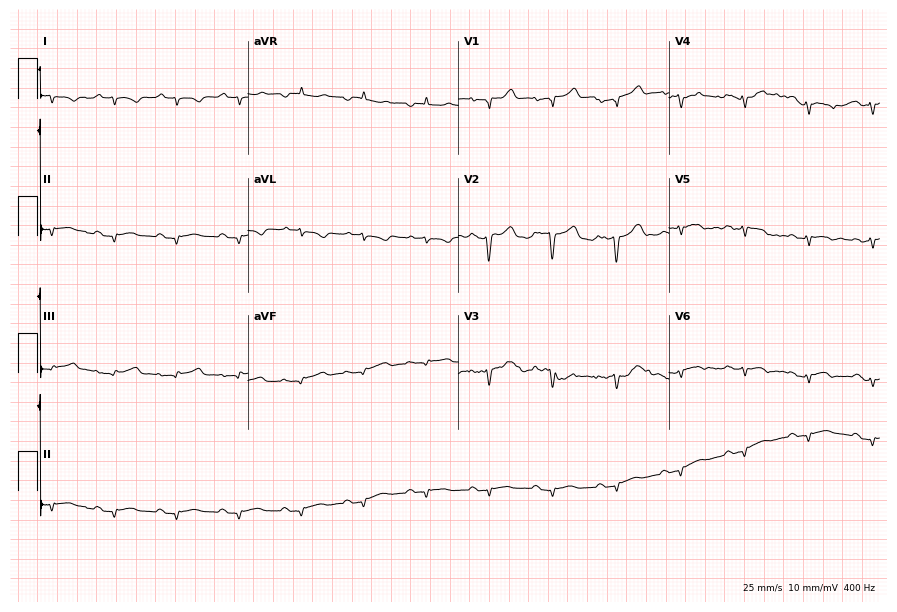
Standard 12-lead ECG recorded from a man, 67 years old (8.6-second recording at 400 Hz). None of these six findings is recorded: first-degree AV block, right bundle branch block (RBBB), left bundle branch block (LBBB), sinus bradycardia, atrial fibrillation (AF), sinus tachycardia. Findings outside these six are not listed.